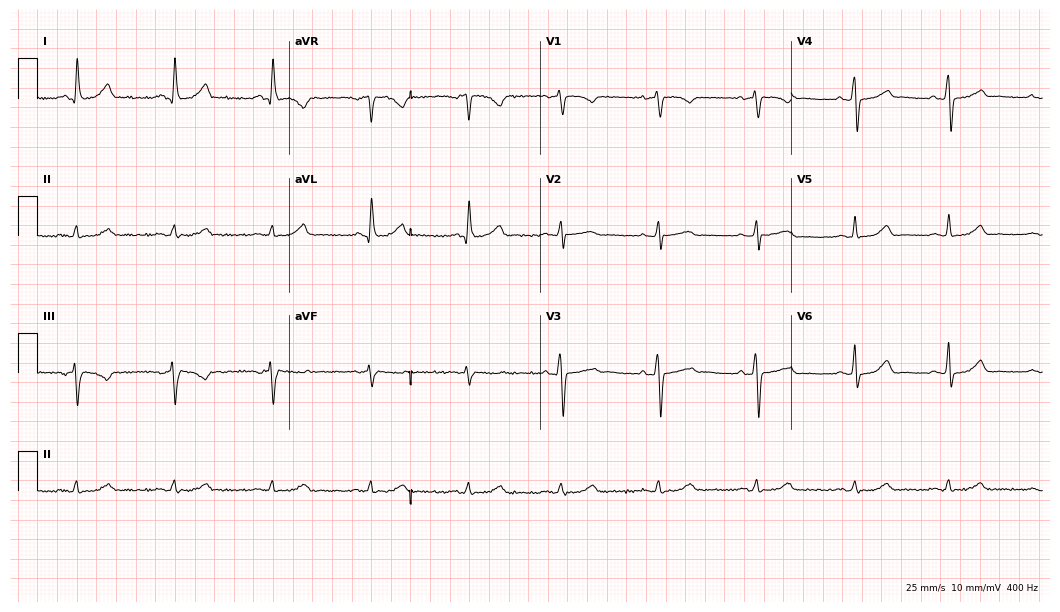
12-lead ECG from a female, 45 years old. Labelled as a normal ECG.